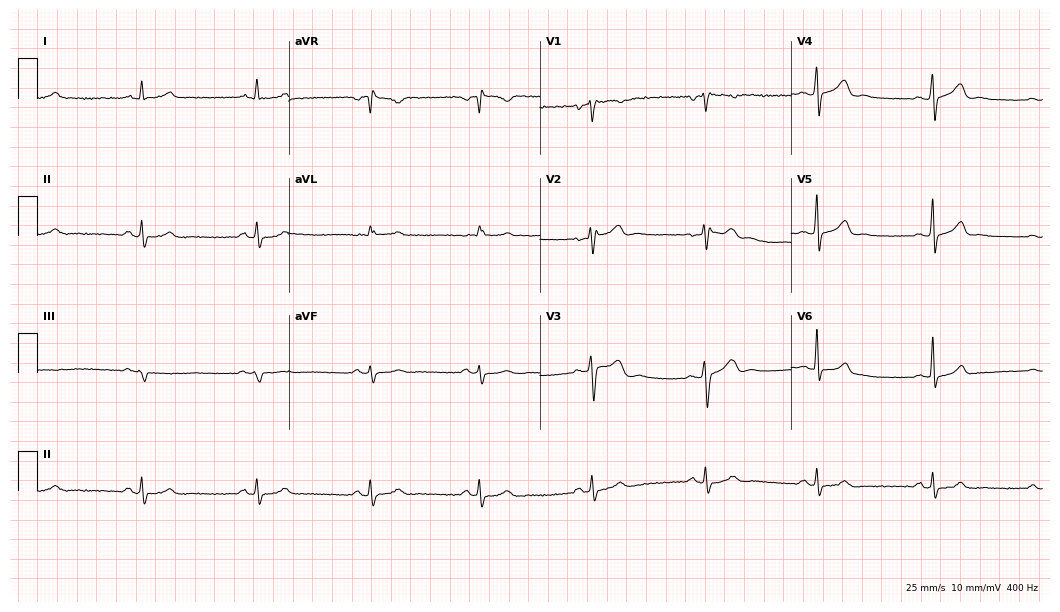
Electrocardiogram (10.2-second recording at 400 Hz), a male patient, 36 years old. Of the six screened findings (first-degree AV block, right bundle branch block (RBBB), left bundle branch block (LBBB), sinus bradycardia, atrial fibrillation (AF), sinus tachycardia), none is recorded. Findings outside these six are not listed.